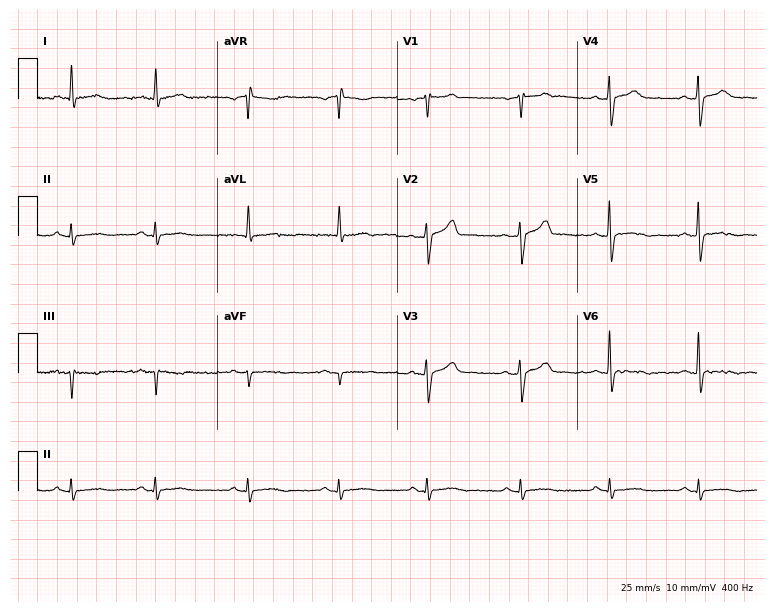
Electrocardiogram, a male, 47 years old. Overall reading on record: normal ECG.